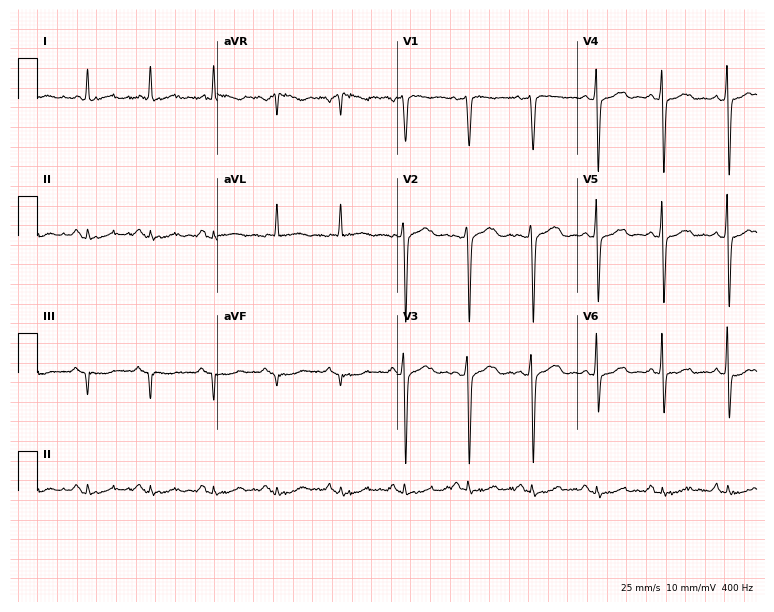
Standard 12-lead ECG recorded from a 58-year-old female patient (7.3-second recording at 400 Hz). None of these six findings is recorded: first-degree AV block, right bundle branch block (RBBB), left bundle branch block (LBBB), sinus bradycardia, atrial fibrillation (AF), sinus tachycardia. Other findings, if any, are not listed.